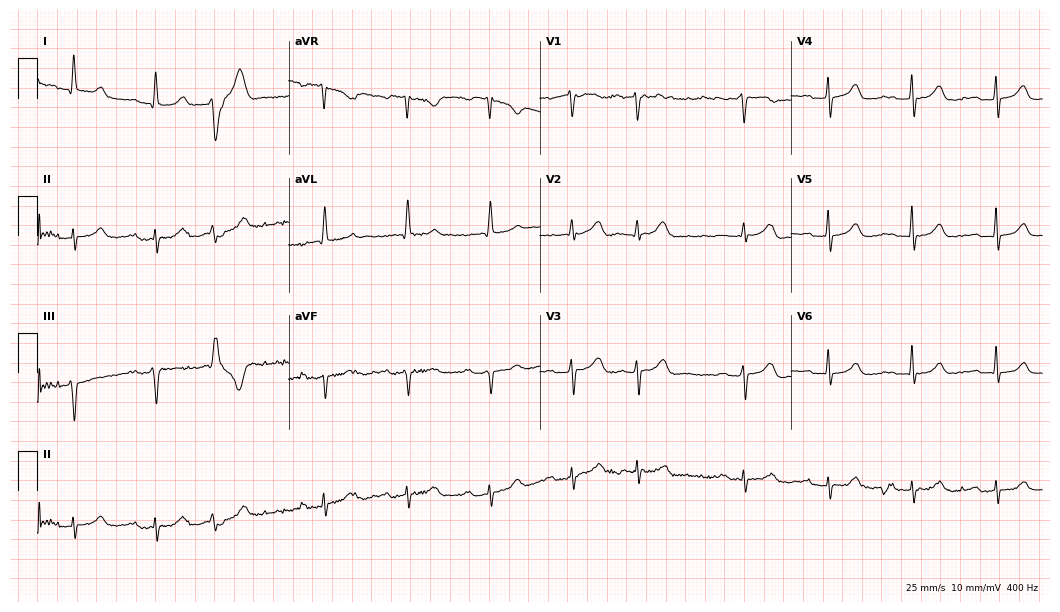
12-lead ECG (10.2-second recording at 400 Hz) from a 78-year-old woman. Screened for six findings — first-degree AV block, right bundle branch block, left bundle branch block, sinus bradycardia, atrial fibrillation, sinus tachycardia — none is recorded. Only these six findings were labelled.